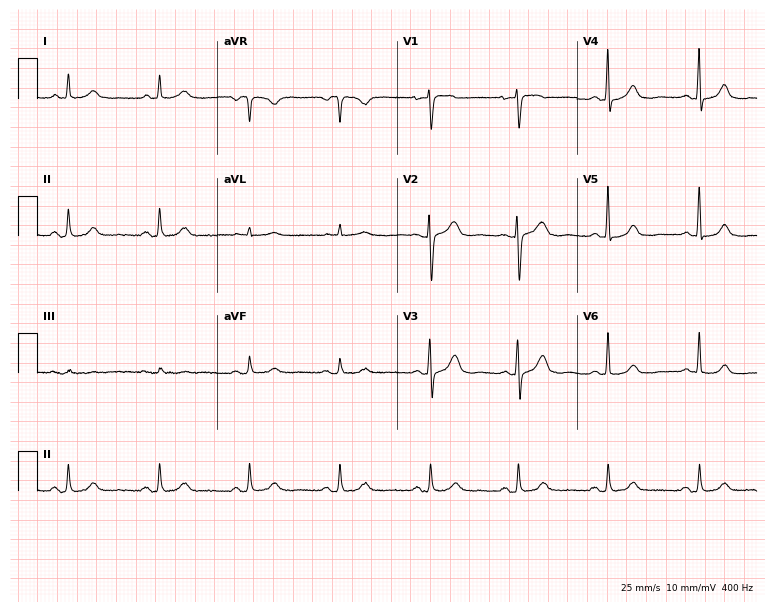
Standard 12-lead ECG recorded from a 68-year-old woman (7.3-second recording at 400 Hz). Read as a normal ECG.